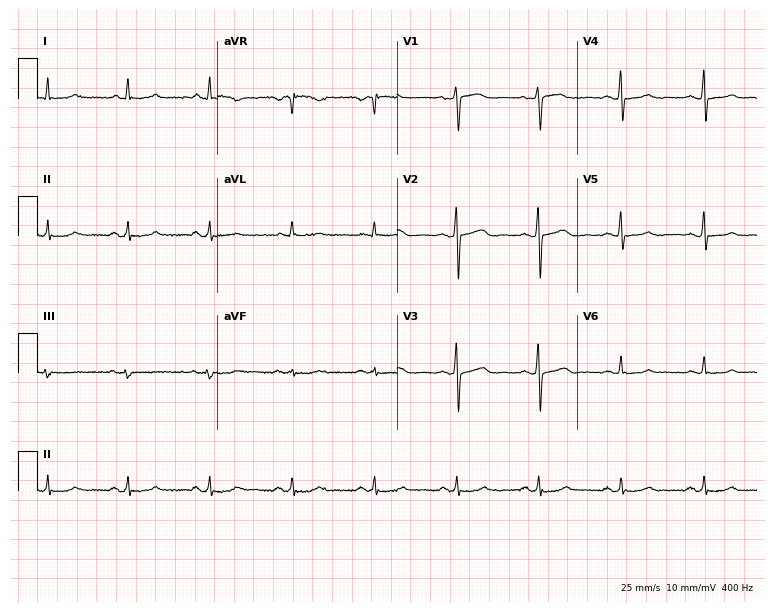
12-lead ECG from a male, 60 years old. Labelled as a normal ECG.